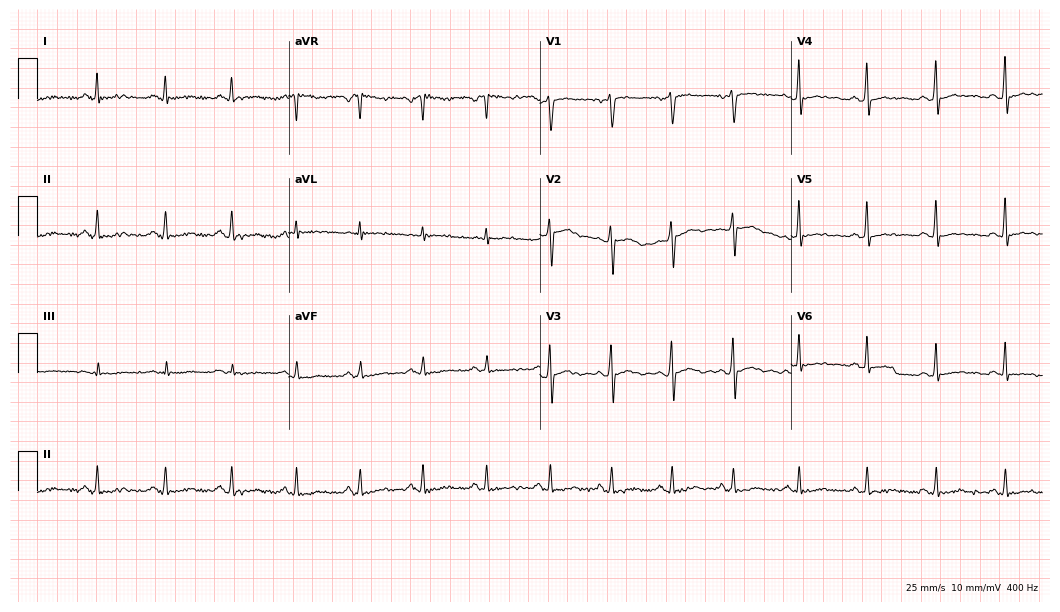
Resting 12-lead electrocardiogram (10.2-second recording at 400 Hz). Patient: a male, 44 years old. None of these six findings is recorded: first-degree AV block, right bundle branch block, left bundle branch block, sinus bradycardia, atrial fibrillation, sinus tachycardia. Other findings, if any, are not listed.